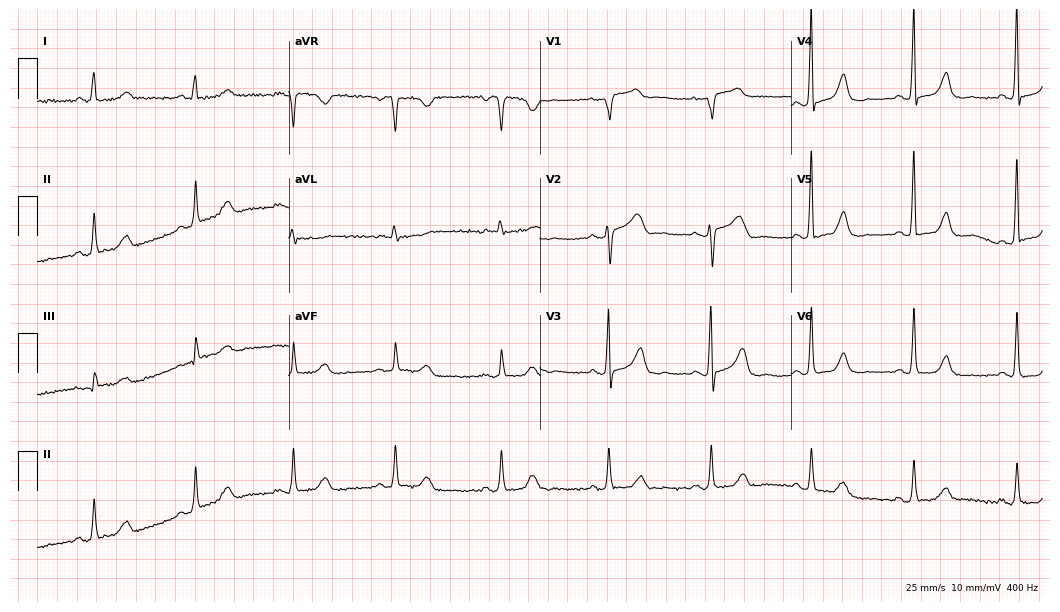
Resting 12-lead electrocardiogram. Patient: a 71-year-old woman. Read as a normal ECG.